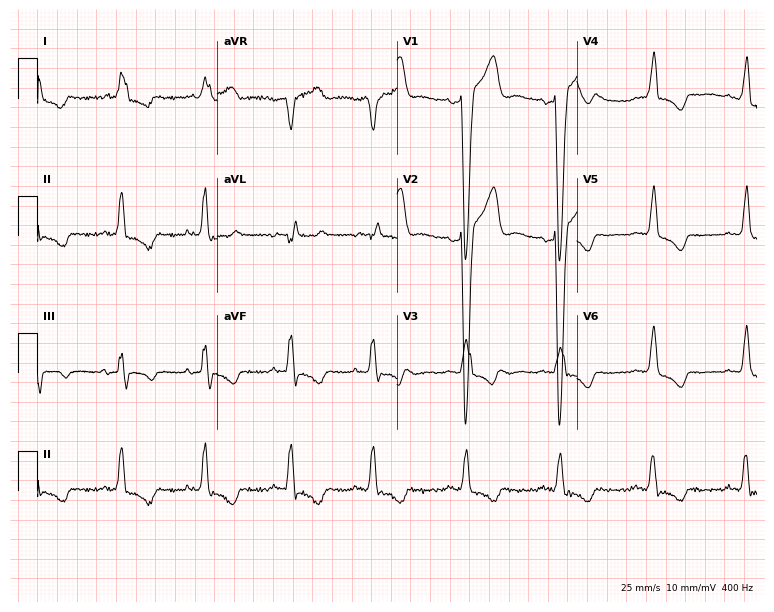
Electrocardiogram (7.3-second recording at 400 Hz), a female patient, 73 years old. Interpretation includes left bundle branch block.